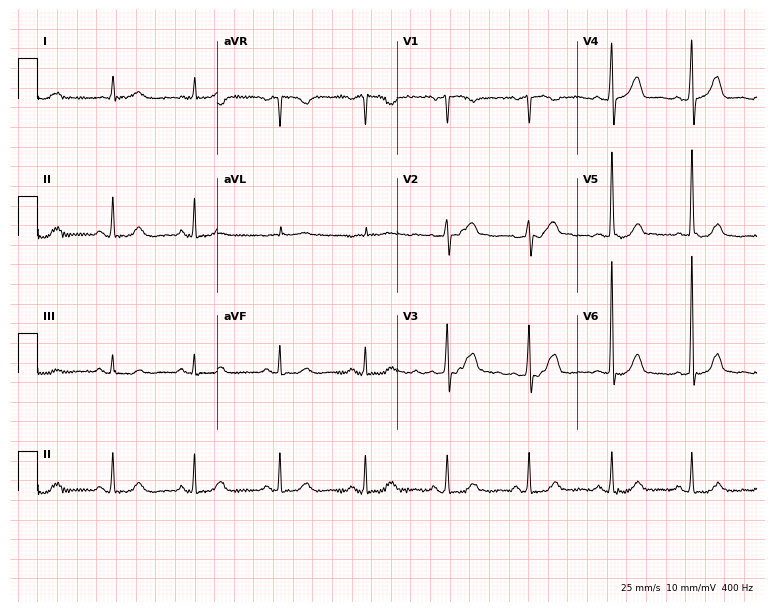
12-lead ECG from an 84-year-old woman. No first-degree AV block, right bundle branch block (RBBB), left bundle branch block (LBBB), sinus bradycardia, atrial fibrillation (AF) or sinus tachycardia recorded for this tracing.